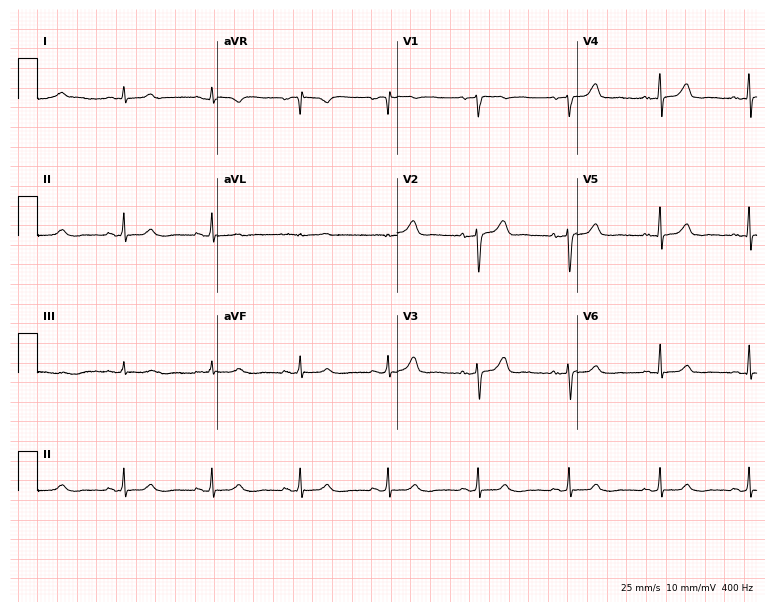
Resting 12-lead electrocardiogram (7.3-second recording at 400 Hz). Patient: a 48-year-old female. None of these six findings is recorded: first-degree AV block, right bundle branch block, left bundle branch block, sinus bradycardia, atrial fibrillation, sinus tachycardia. Only these six findings were labelled.